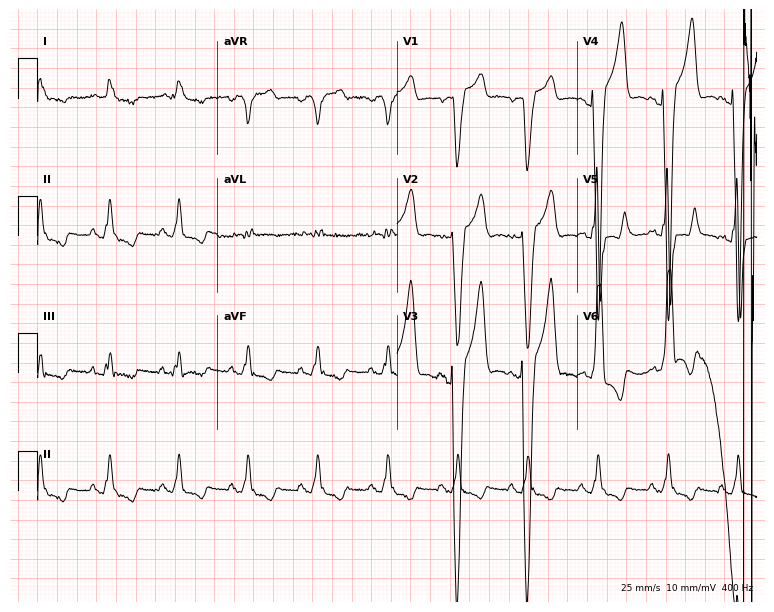
12-lead ECG (7.3-second recording at 400 Hz) from a 65-year-old man. Findings include left bundle branch block.